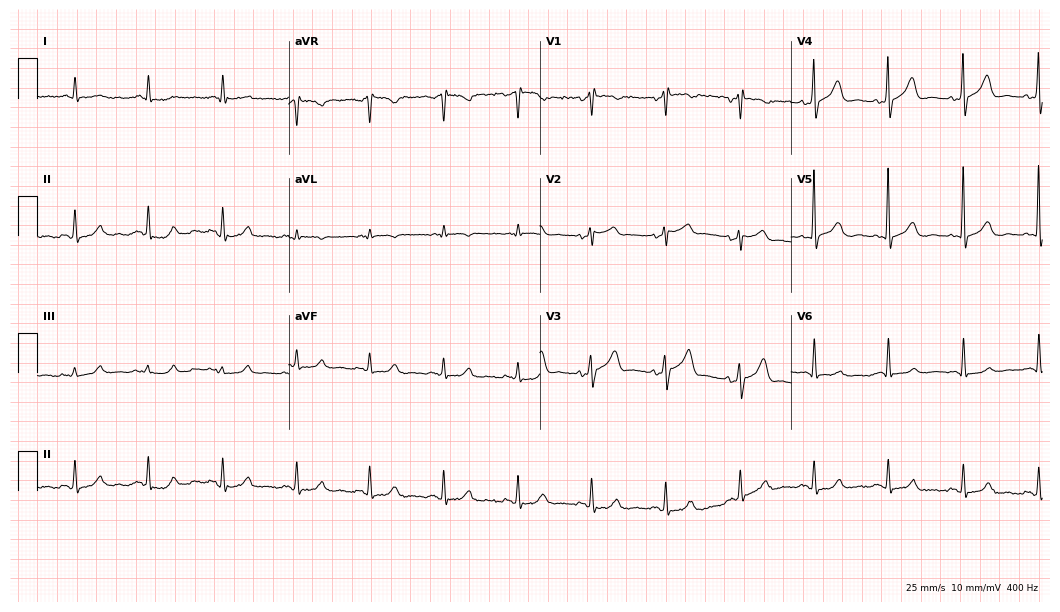
Standard 12-lead ECG recorded from a 77-year-old male patient. None of these six findings is recorded: first-degree AV block, right bundle branch block (RBBB), left bundle branch block (LBBB), sinus bradycardia, atrial fibrillation (AF), sinus tachycardia. Findings outside these six are not listed.